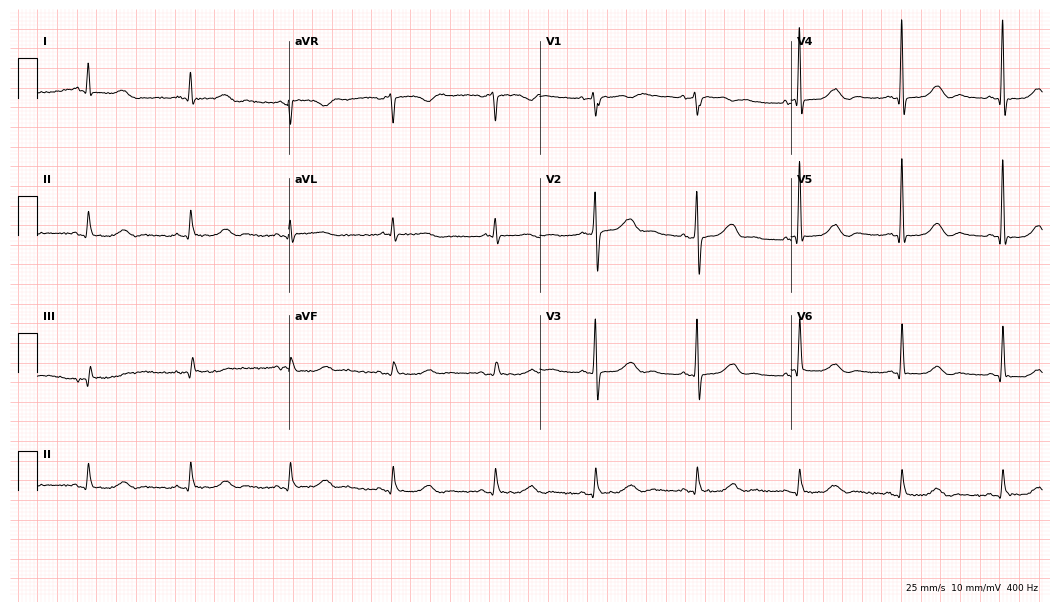
ECG — a 74-year-old female patient. Screened for six findings — first-degree AV block, right bundle branch block (RBBB), left bundle branch block (LBBB), sinus bradycardia, atrial fibrillation (AF), sinus tachycardia — none is recorded.